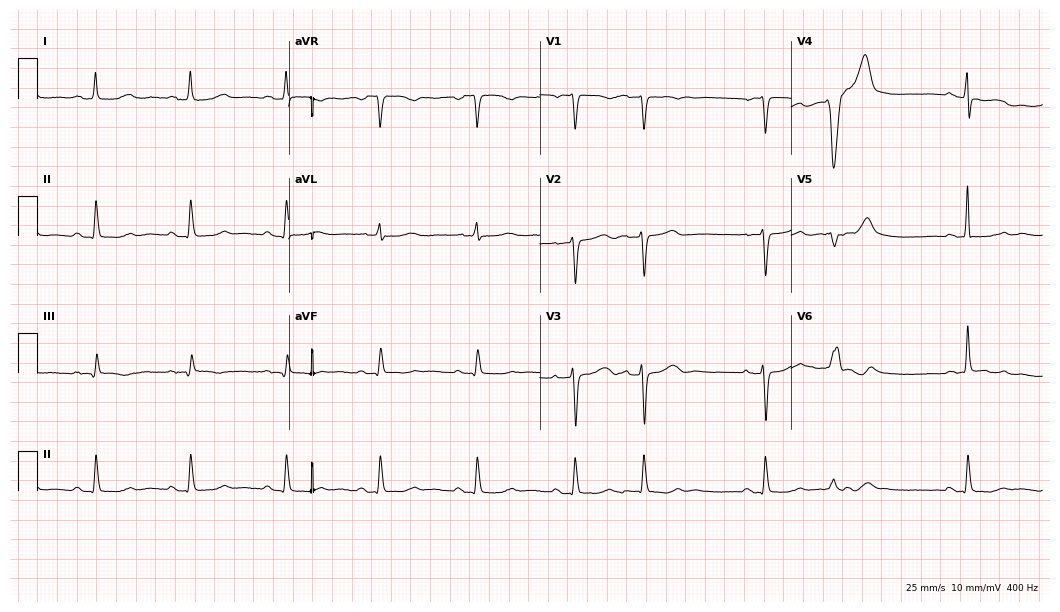
Standard 12-lead ECG recorded from a female patient, 68 years old (10.2-second recording at 400 Hz). None of these six findings is recorded: first-degree AV block, right bundle branch block, left bundle branch block, sinus bradycardia, atrial fibrillation, sinus tachycardia. Other findings, if any, are not listed.